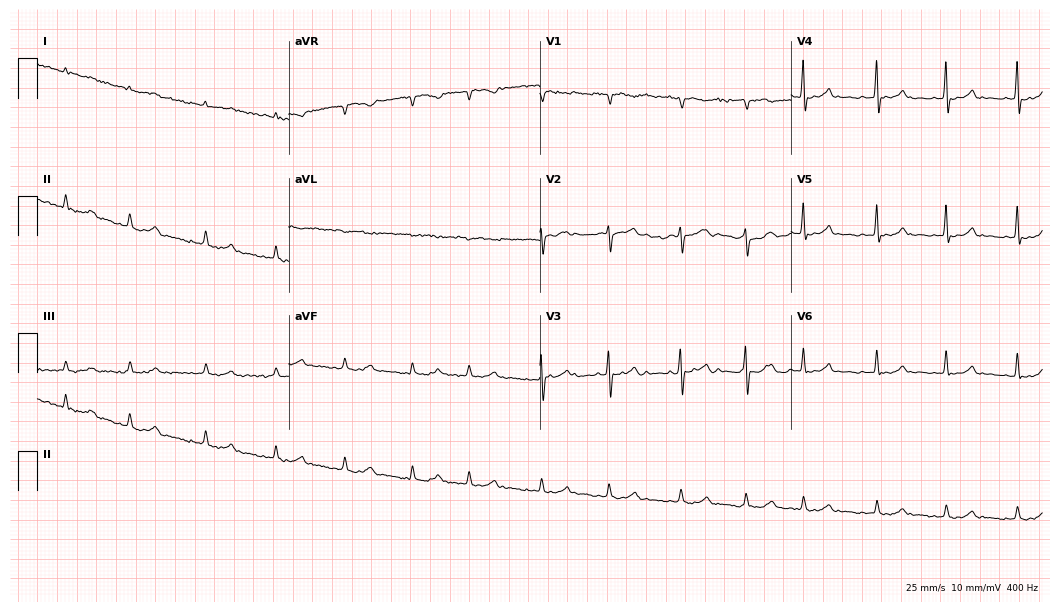
12-lead ECG (10.2-second recording at 400 Hz) from a male, 79 years old. Screened for six findings — first-degree AV block, right bundle branch block, left bundle branch block, sinus bradycardia, atrial fibrillation, sinus tachycardia — none is recorded. Other findings, if any, are not listed.